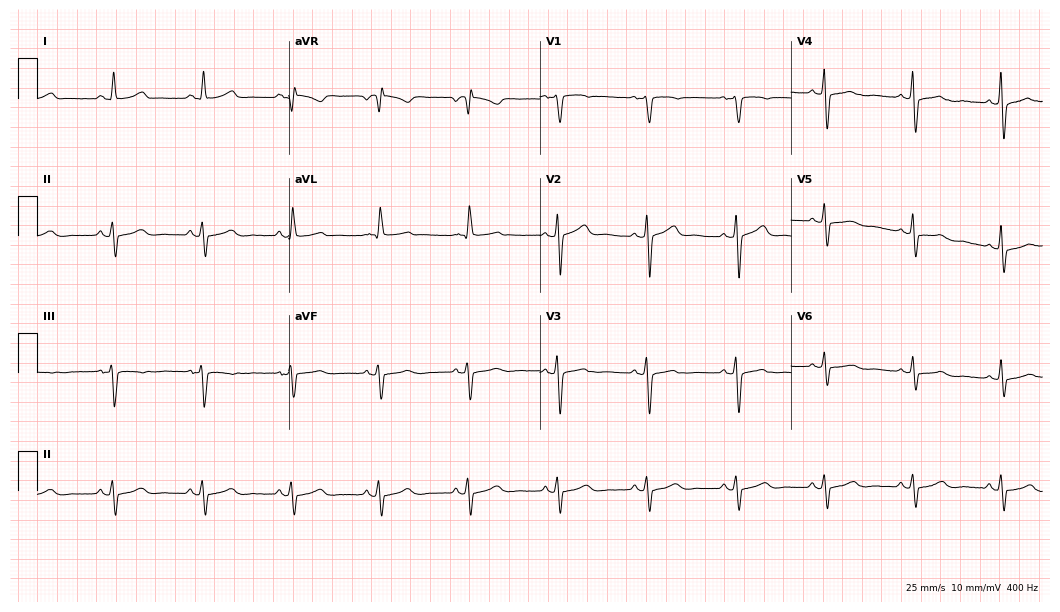
ECG — a female patient, 55 years old. Screened for six findings — first-degree AV block, right bundle branch block, left bundle branch block, sinus bradycardia, atrial fibrillation, sinus tachycardia — none is recorded.